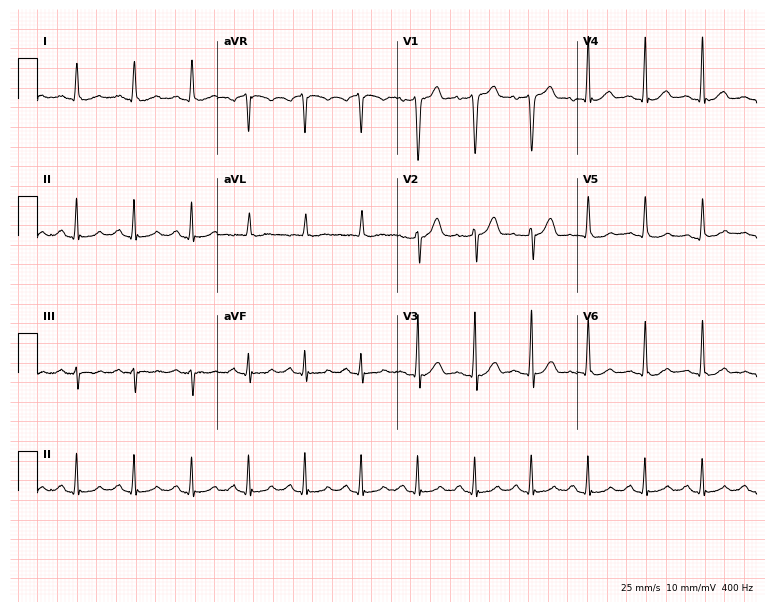
ECG — a male, 45 years old. Findings include sinus tachycardia (a sinus rate of 100 beats per minute or more).